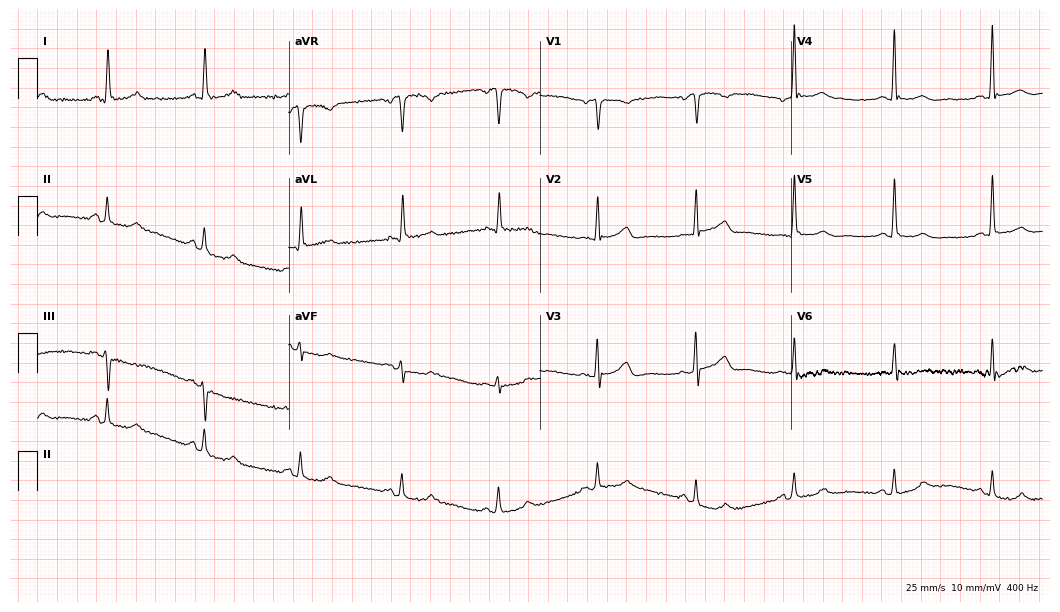
ECG (10.2-second recording at 400 Hz) — a 73-year-old female patient. Labelled as a normal ECG.